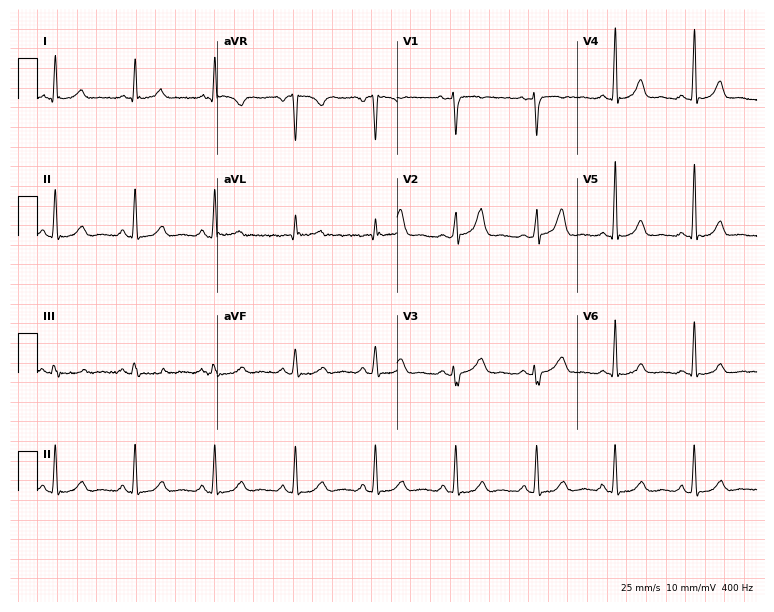
Electrocardiogram (7.3-second recording at 400 Hz), a 48-year-old female. Of the six screened findings (first-degree AV block, right bundle branch block, left bundle branch block, sinus bradycardia, atrial fibrillation, sinus tachycardia), none is recorded. Findings outside these six are not listed.